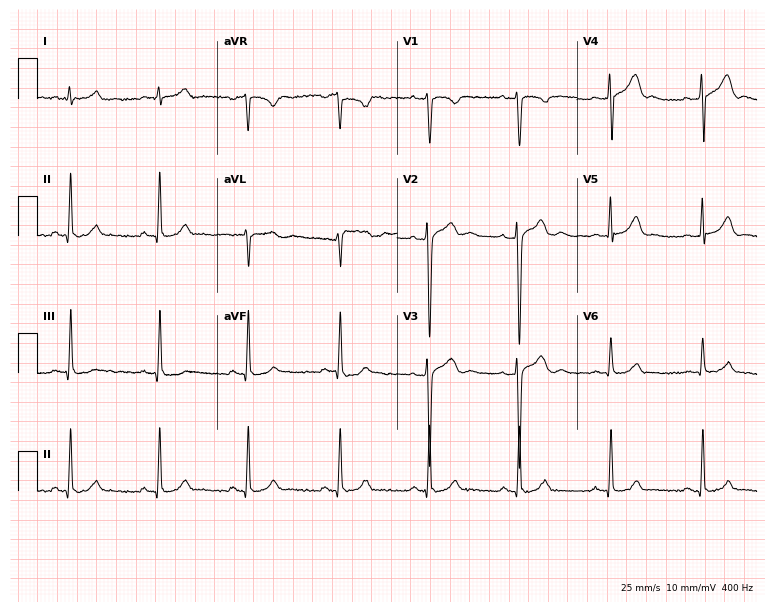
12-lead ECG from a man, 21 years old. Screened for six findings — first-degree AV block, right bundle branch block (RBBB), left bundle branch block (LBBB), sinus bradycardia, atrial fibrillation (AF), sinus tachycardia — none is recorded.